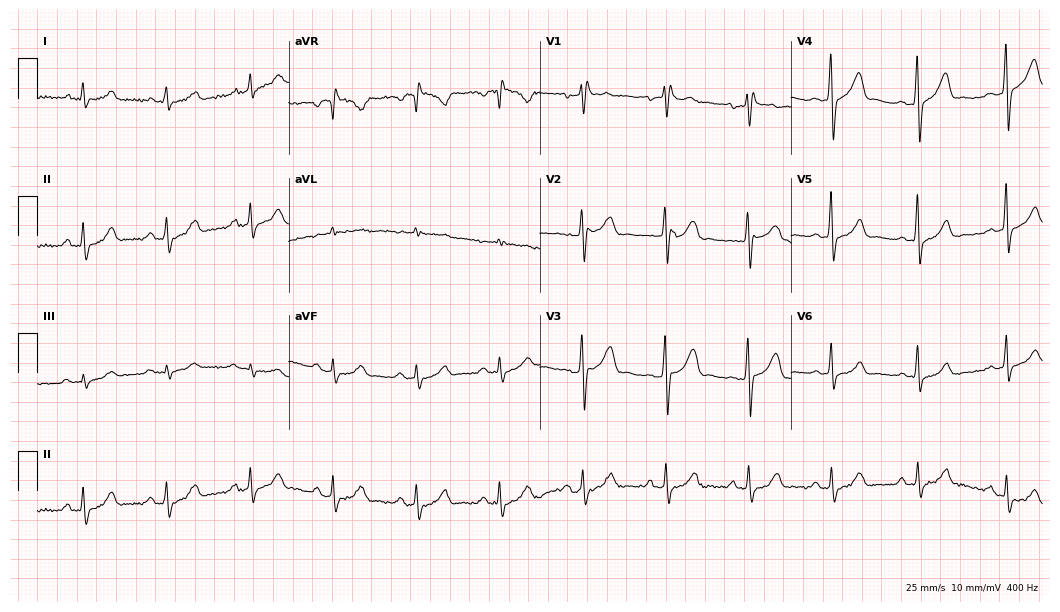
12-lead ECG (10.2-second recording at 400 Hz) from a male, 60 years old. Findings include right bundle branch block (RBBB).